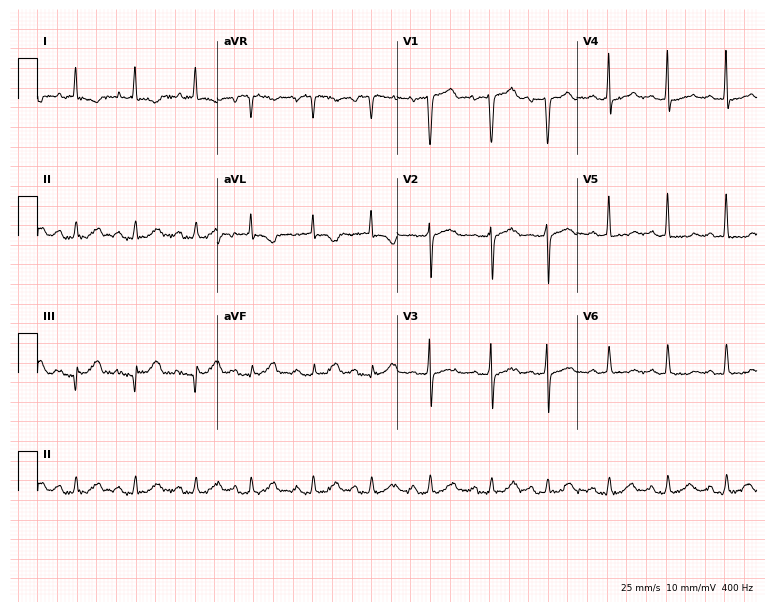
12-lead ECG (7.3-second recording at 400 Hz) from an 80-year-old woman. Screened for six findings — first-degree AV block, right bundle branch block, left bundle branch block, sinus bradycardia, atrial fibrillation, sinus tachycardia — none is recorded.